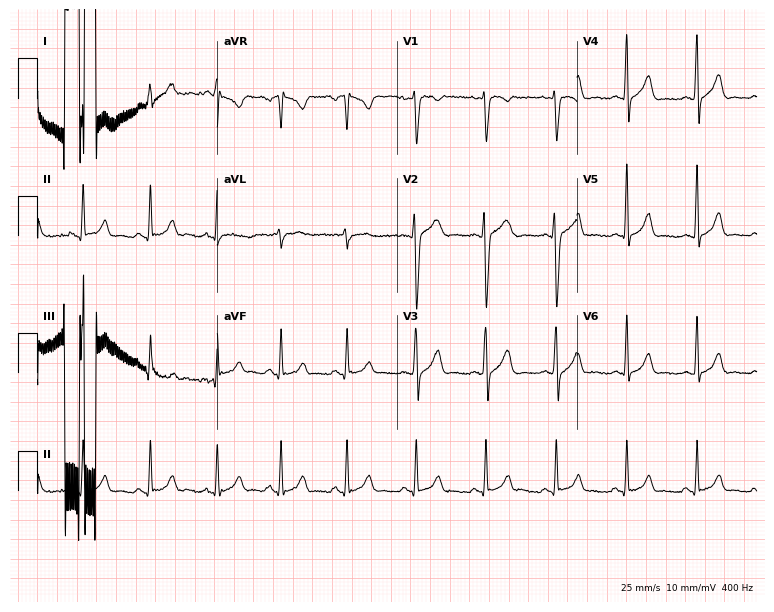
ECG (7.3-second recording at 400 Hz) — a female patient, 22 years old. Labelled as a normal ECG.